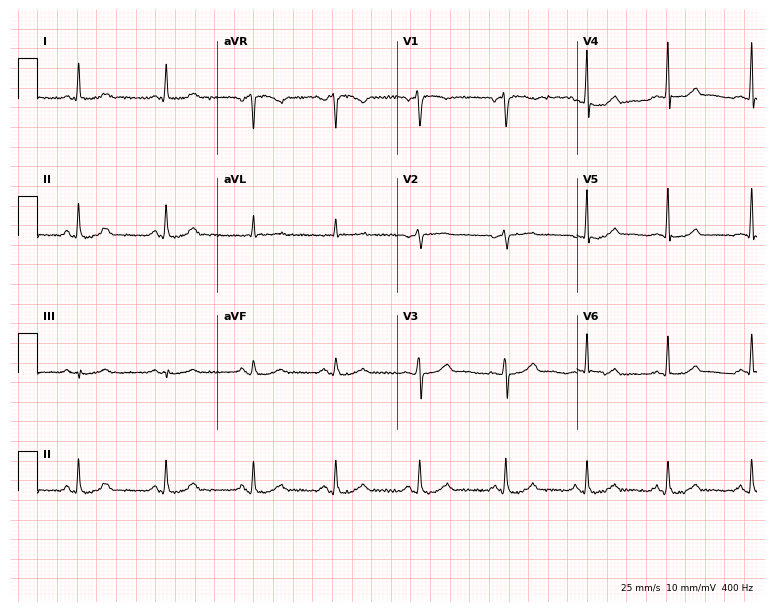
12-lead ECG (7.3-second recording at 400 Hz) from a 50-year-old female patient. Screened for six findings — first-degree AV block, right bundle branch block, left bundle branch block, sinus bradycardia, atrial fibrillation, sinus tachycardia — none is recorded. Findings outside these six are not listed.